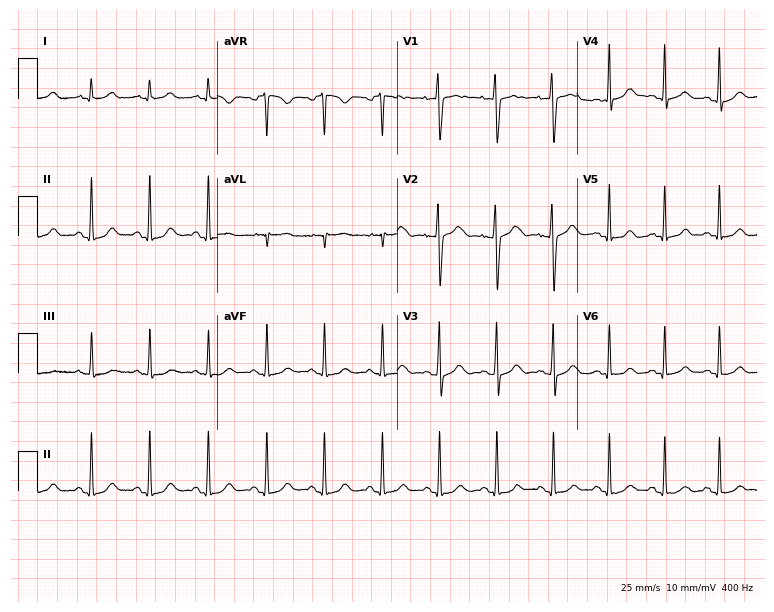
Standard 12-lead ECG recorded from a woman, 35 years old (7.3-second recording at 400 Hz). None of these six findings is recorded: first-degree AV block, right bundle branch block, left bundle branch block, sinus bradycardia, atrial fibrillation, sinus tachycardia. Other findings, if any, are not listed.